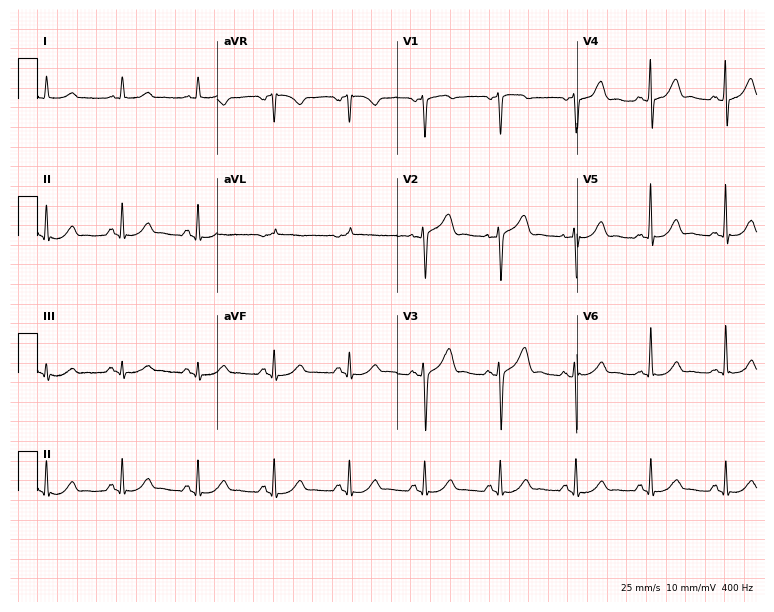
Electrocardiogram, a male patient, 74 years old. Overall reading on record: normal ECG.